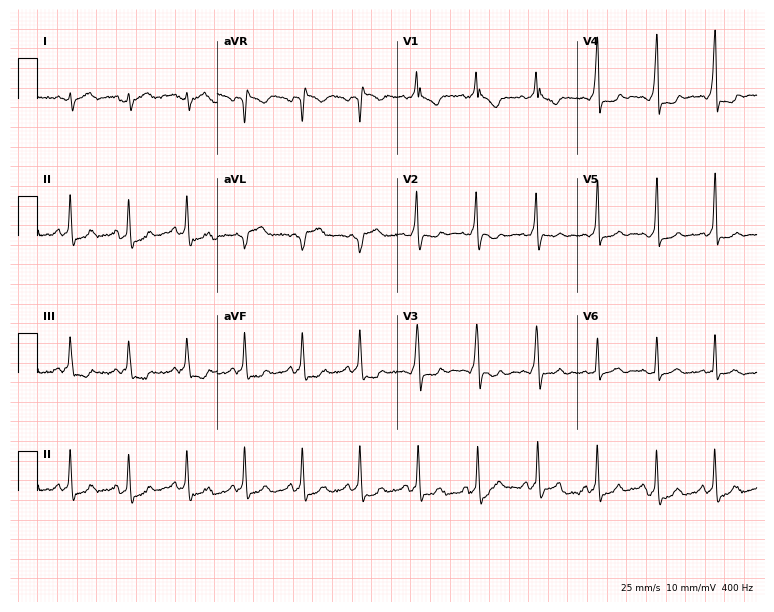
12-lead ECG from a female, 23 years old. Shows right bundle branch block.